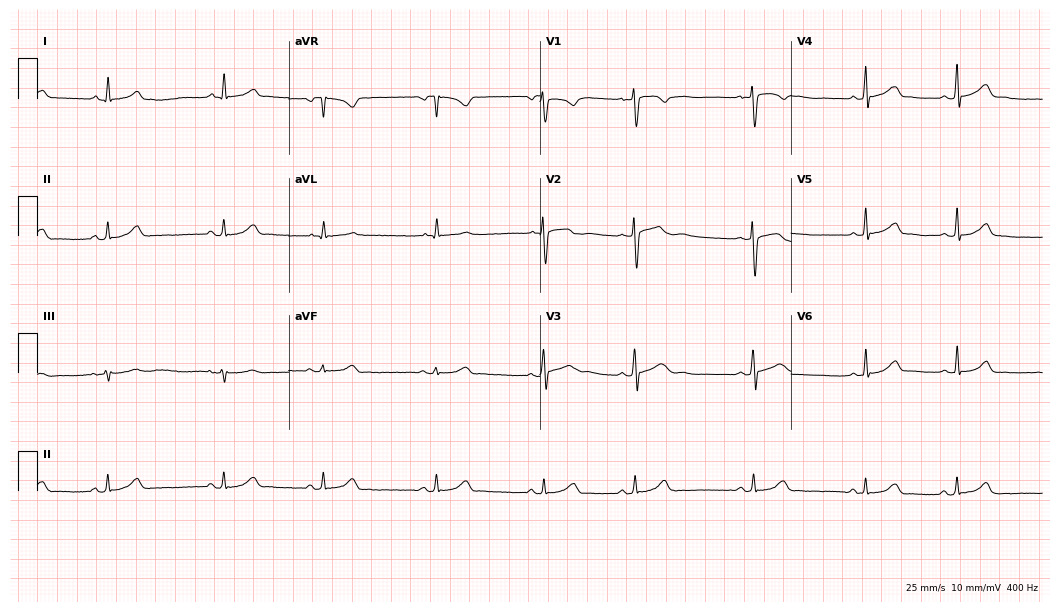
ECG — a 23-year-old female patient. Labelled as a normal ECG.